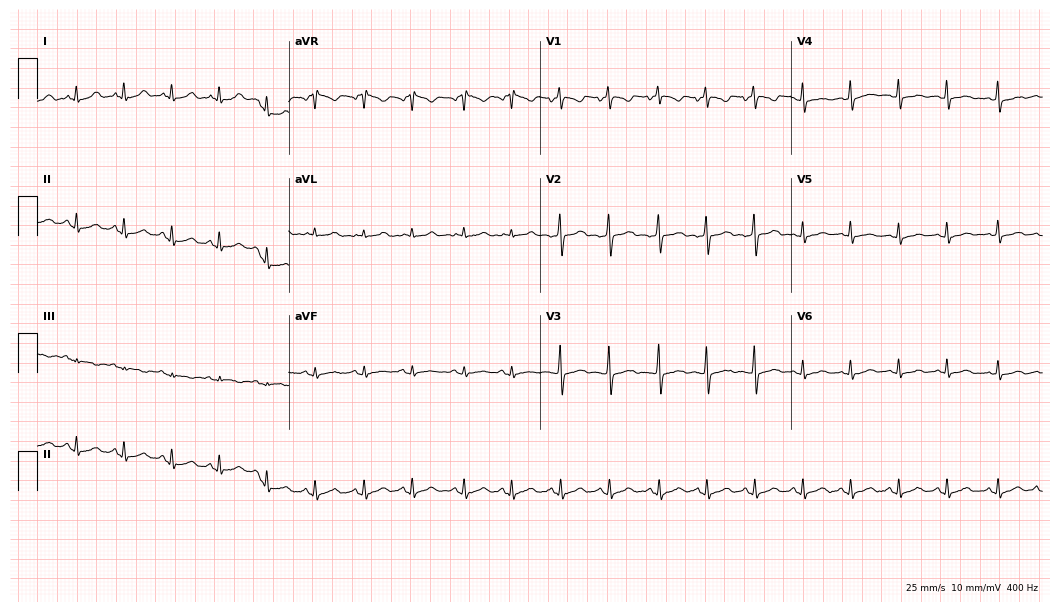
12-lead ECG from a woman, 32 years old. No first-degree AV block, right bundle branch block, left bundle branch block, sinus bradycardia, atrial fibrillation or sinus tachycardia recorded for this tracing.